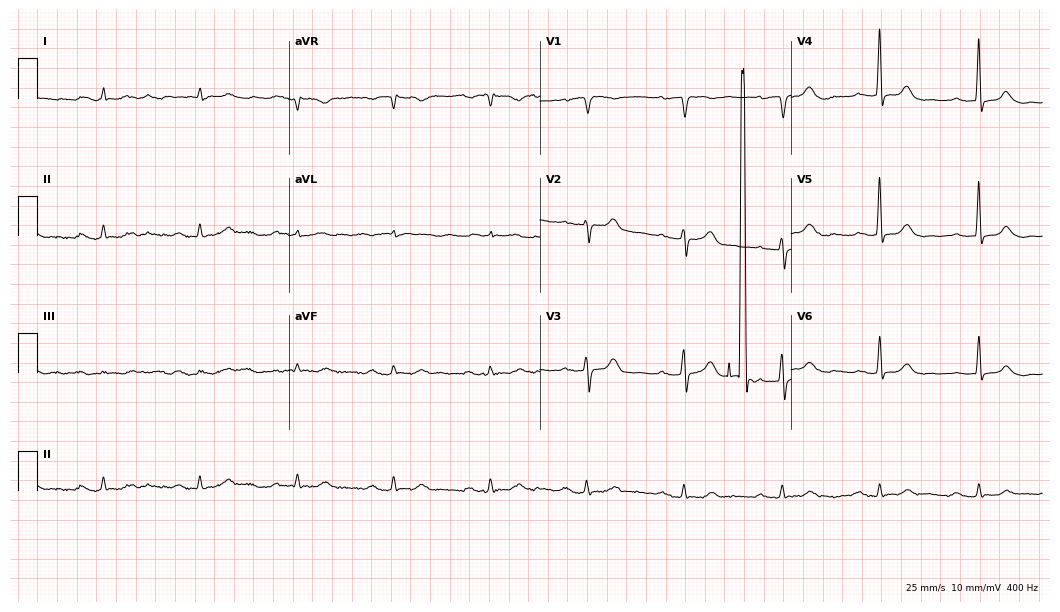
Resting 12-lead electrocardiogram. Patient: a male, 83 years old. None of these six findings is recorded: first-degree AV block, right bundle branch block, left bundle branch block, sinus bradycardia, atrial fibrillation, sinus tachycardia.